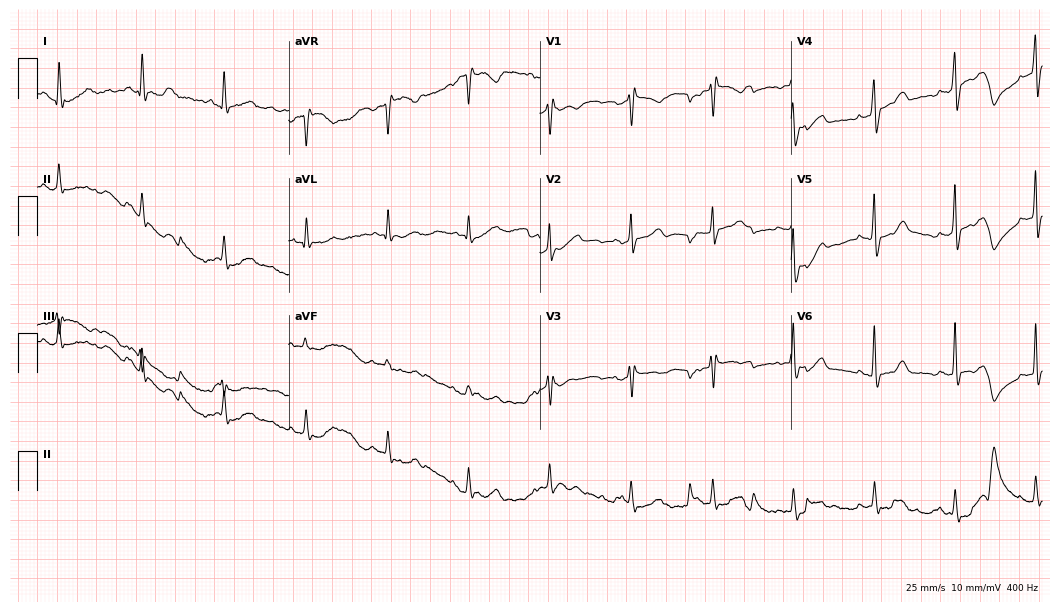
12-lead ECG from a man, 65 years old. No first-degree AV block, right bundle branch block (RBBB), left bundle branch block (LBBB), sinus bradycardia, atrial fibrillation (AF) or sinus tachycardia recorded for this tracing. Findings outside these six are not listed.